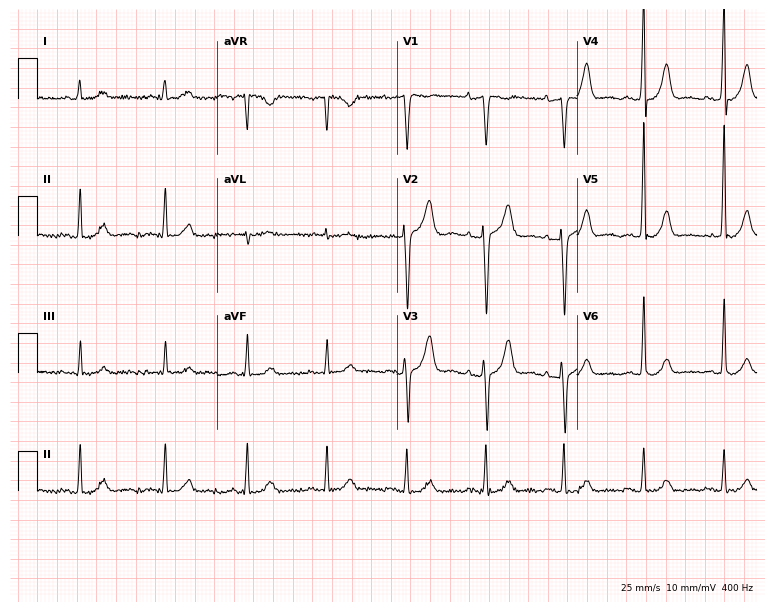
Resting 12-lead electrocardiogram (7.3-second recording at 400 Hz). Patient: a male, 77 years old. Read as a normal ECG.